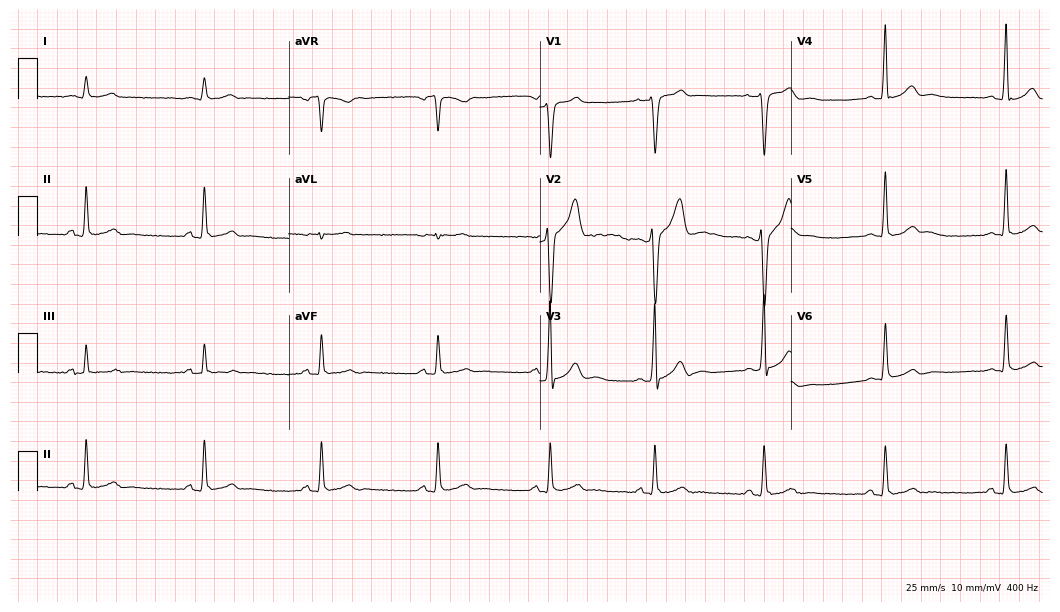
12-lead ECG from a 32-year-old male patient (10.2-second recording at 400 Hz). Recorded interpretation: within normal limits.